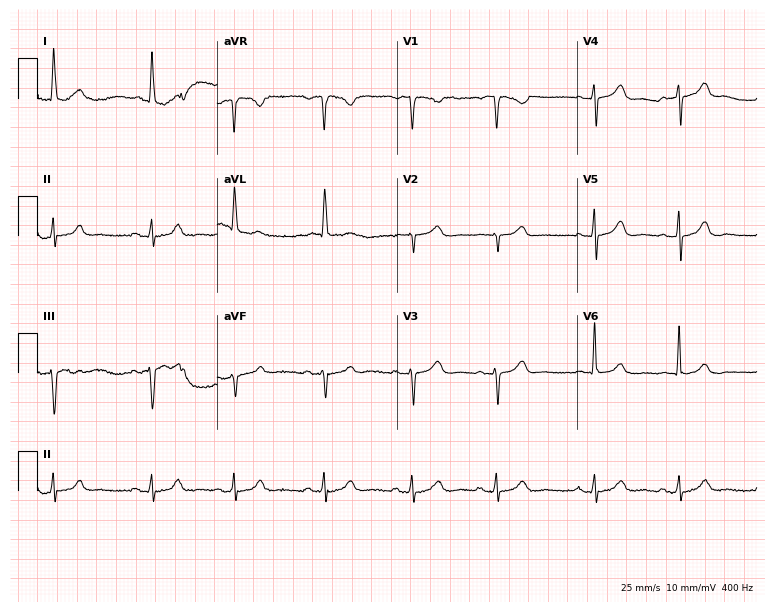
Electrocardiogram, a female, 85 years old. Overall reading on record: normal ECG.